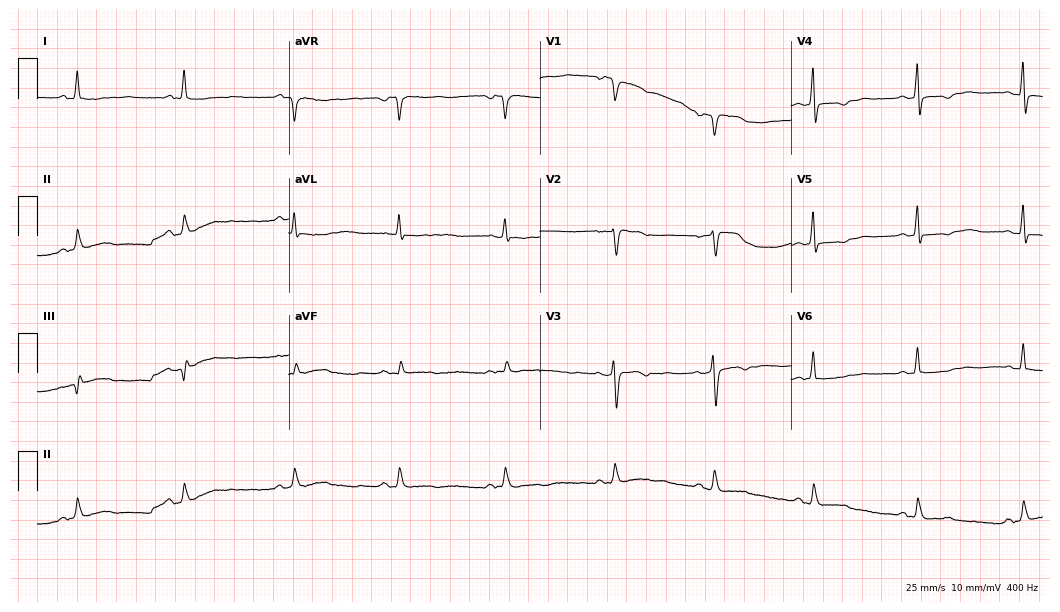
Electrocardiogram (10.2-second recording at 400 Hz), a 60-year-old woman. Of the six screened findings (first-degree AV block, right bundle branch block, left bundle branch block, sinus bradycardia, atrial fibrillation, sinus tachycardia), none is recorded.